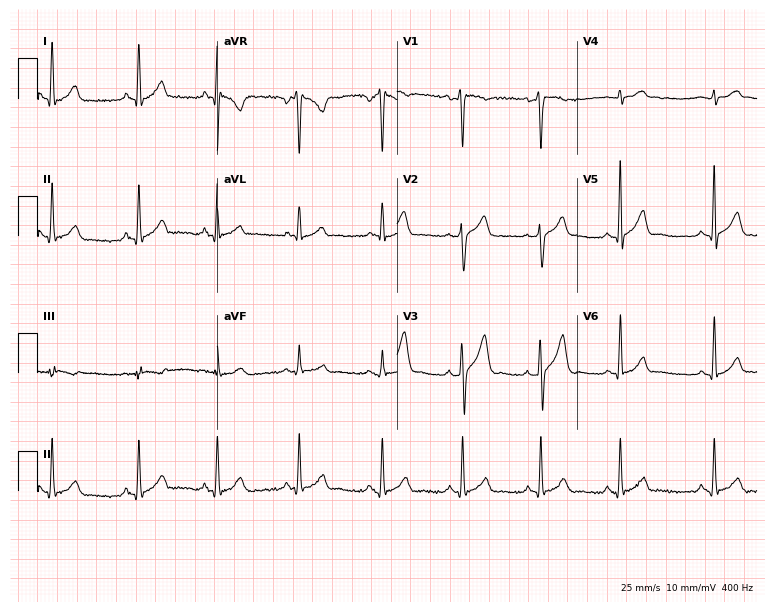
12-lead ECG (7.3-second recording at 400 Hz) from a 24-year-old male patient. Labelled as a normal ECG.